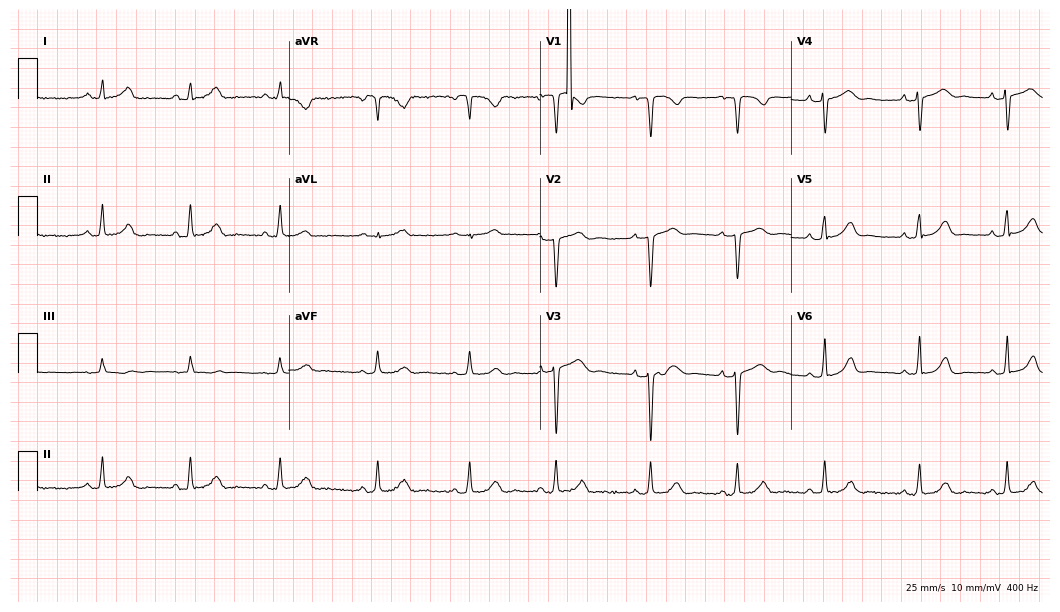
12-lead ECG (10.2-second recording at 400 Hz) from a female, 24 years old. Labelled as a normal ECG.